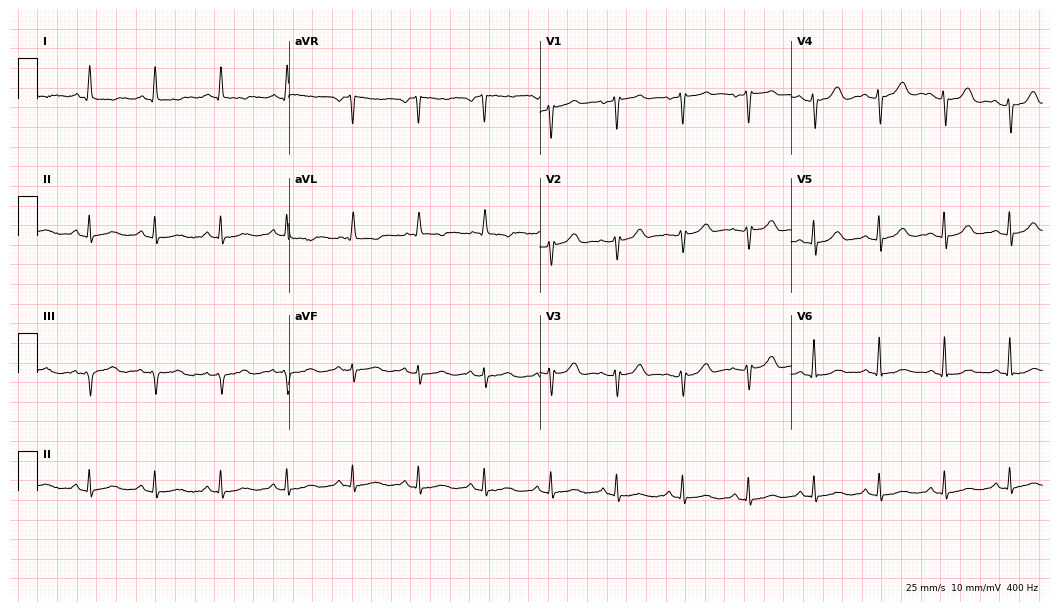
Standard 12-lead ECG recorded from a woman, 65 years old (10.2-second recording at 400 Hz). None of these six findings is recorded: first-degree AV block, right bundle branch block, left bundle branch block, sinus bradycardia, atrial fibrillation, sinus tachycardia.